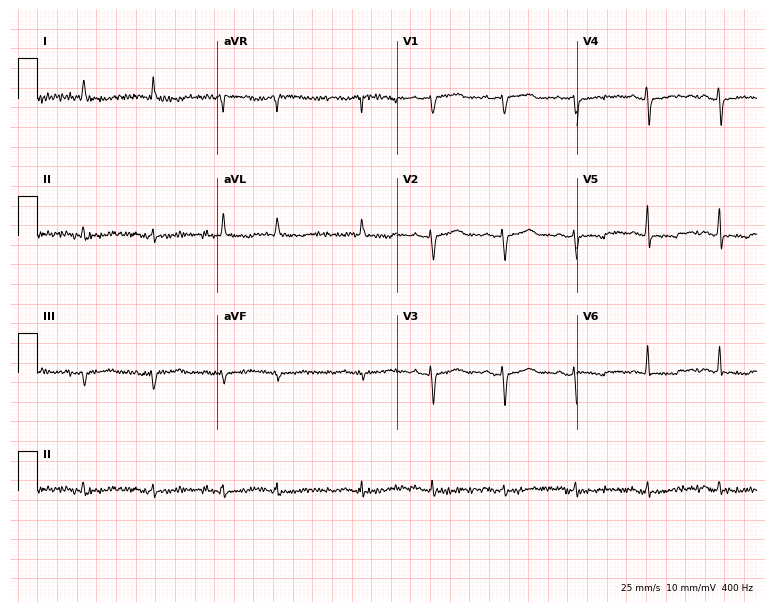
Electrocardiogram, a woman, 77 years old. Of the six screened findings (first-degree AV block, right bundle branch block (RBBB), left bundle branch block (LBBB), sinus bradycardia, atrial fibrillation (AF), sinus tachycardia), none is recorded. Only these six findings were labelled.